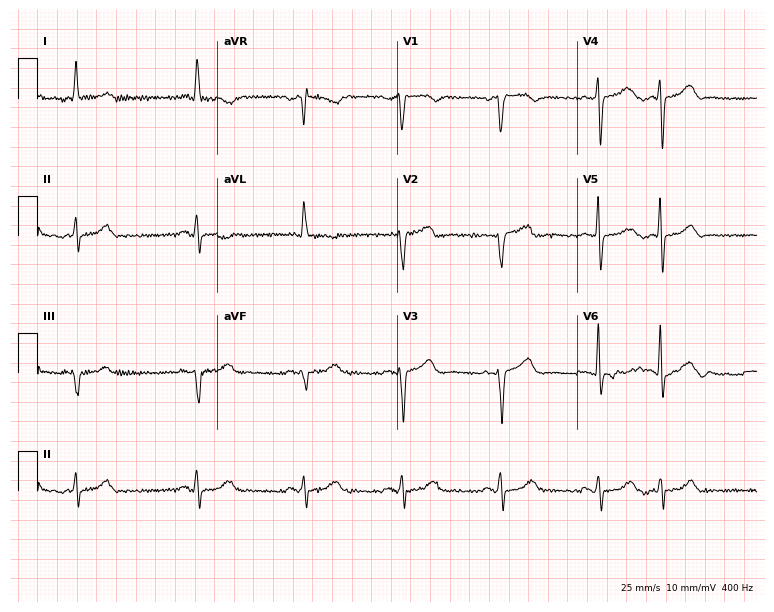
Electrocardiogram, a 61-year-old female patient. Of the six screened findings (first-degree AV block, right bundle branch block, left bundle branch block, sinus bradycardia, atrial fibrillation, sinus tachycardia), none is recorded.